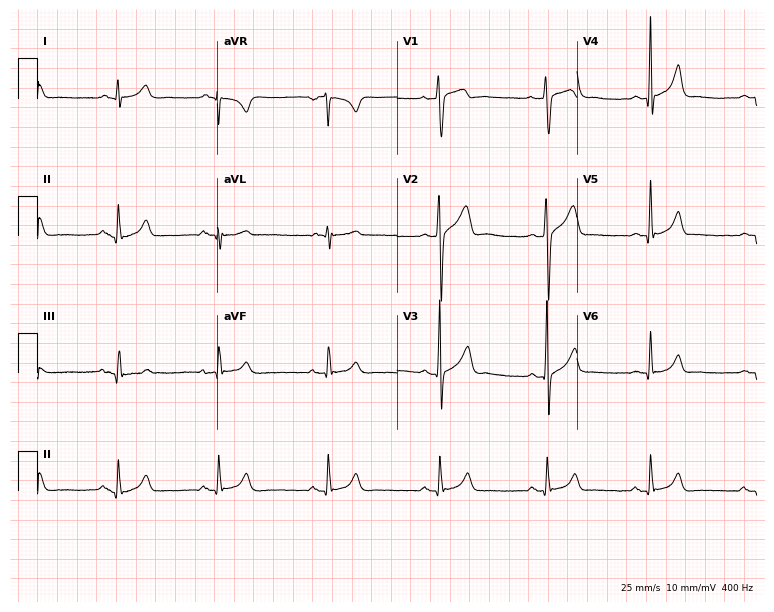
12-lead ECG from a 29-year-old male patient (7.3-second recording at 400 Hz). No first-degree AV block, right bundle branch block (RBBB), left bundle branch block (LBBB), sinus bradycardia, atrial fibrillation (AF) or sinus tachycardia recorded for this tracing.